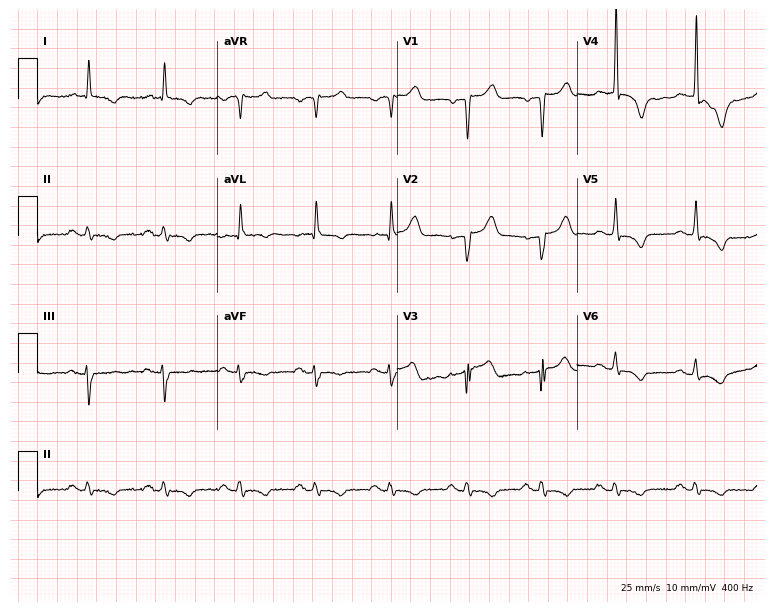
ECG (7.3-second recording at 400 Hz) — a female patient, 66 years old. Screened for six findings — first-degree AV block, right bundle branch block, left bundle branch block, sinus bradycardia, atrial fibrillation, sinus tachycardia — none is recorded.